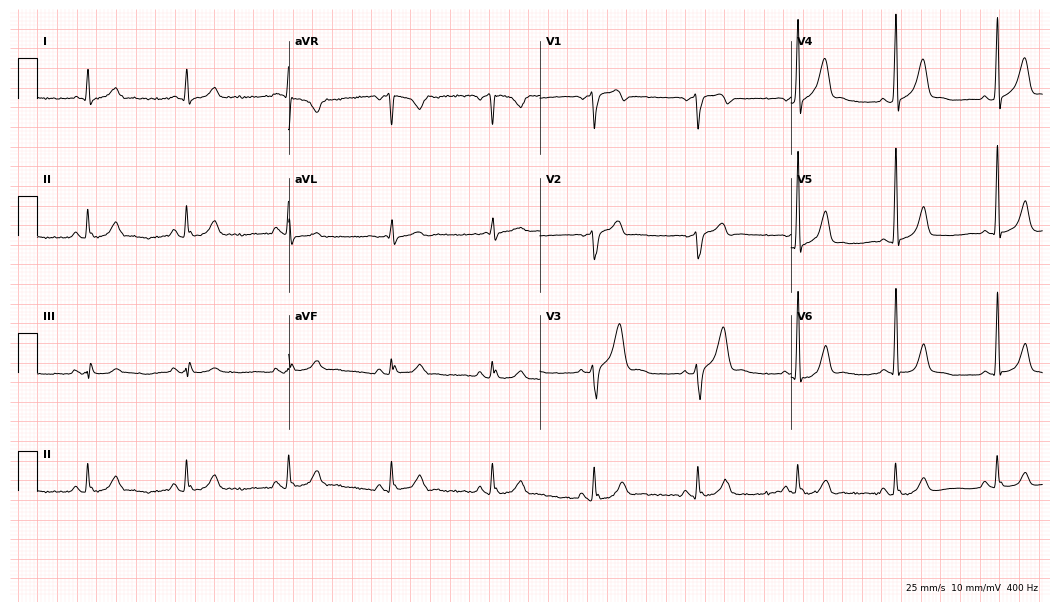
12-lead ECG from a 52-year-old male. Screened for six findings — first-degree AV block, right bundle branch block, left bundle branch block, sinus bradycardia, atrial fibrillation, sinus tachycardia — none is recorded. Findings outside these six are not listed.